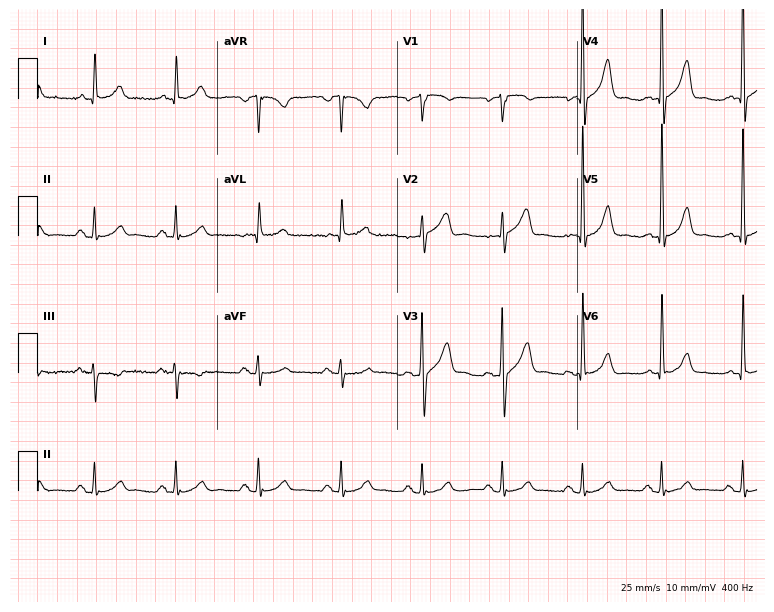
Electrocardiogram, a male patient, 62 years old. Overall reading on record: normal ECG.